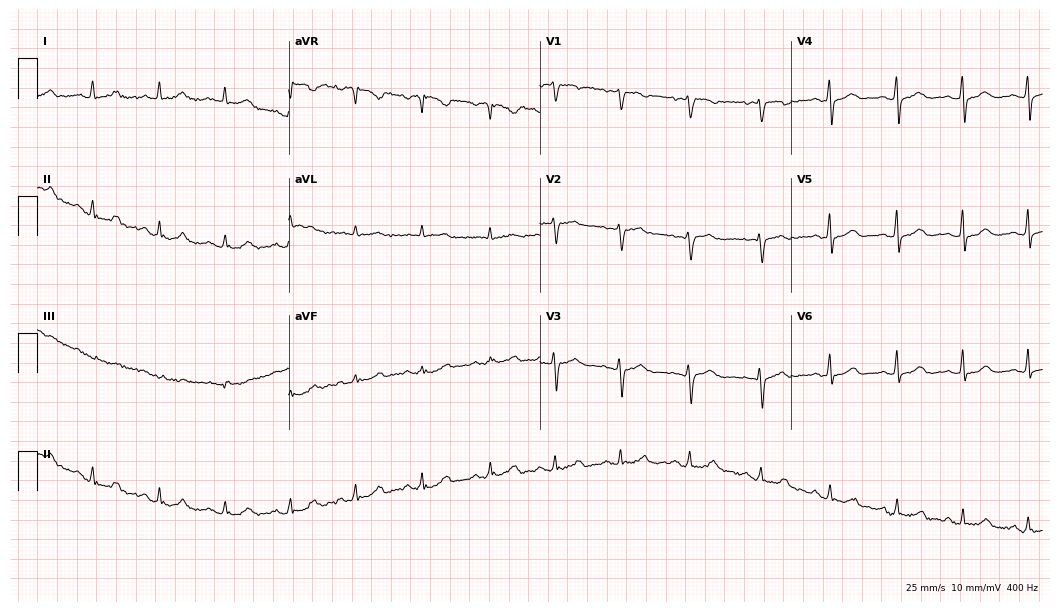
Standard 12-lead ECG recorded from a woman, 54 years old. None of these six findings is recorded: first-degree AV block, right bundle branch block, left bundle branch block, sinus bradycardia, atrial fibrillation, sinus tachycardia.